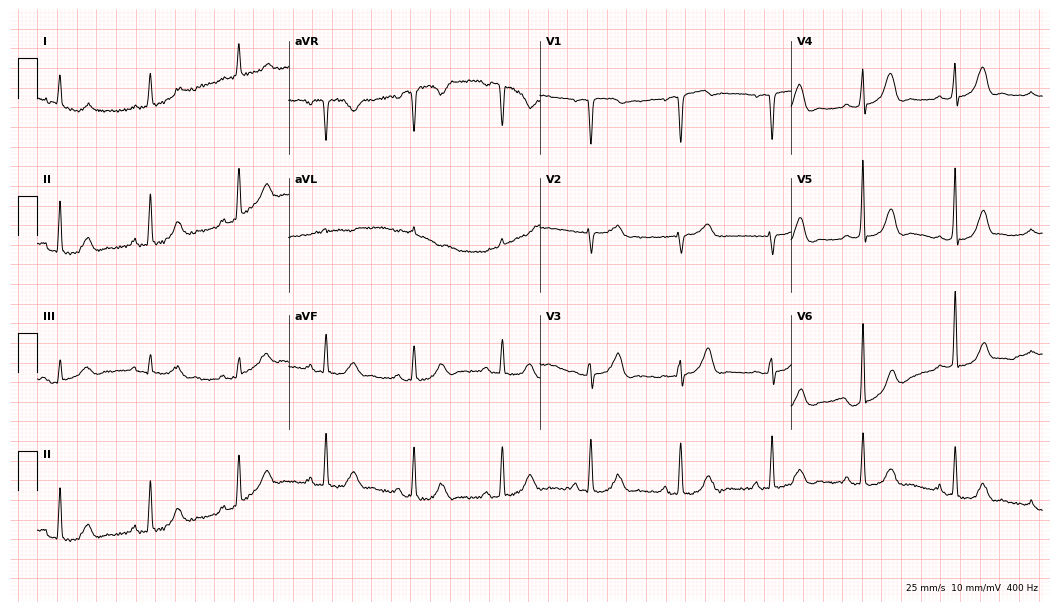
Standard 12-lead ECG recorded from a 60-year-old female (10.2-second recording at 400 Hz). None of these six findings is recorded: first-degree AV block, right bundle branch block (RBBB), left bundle branch block (LBBB), sinus bradycardia, atrial fibrillation (AF), sinus tachycardia.